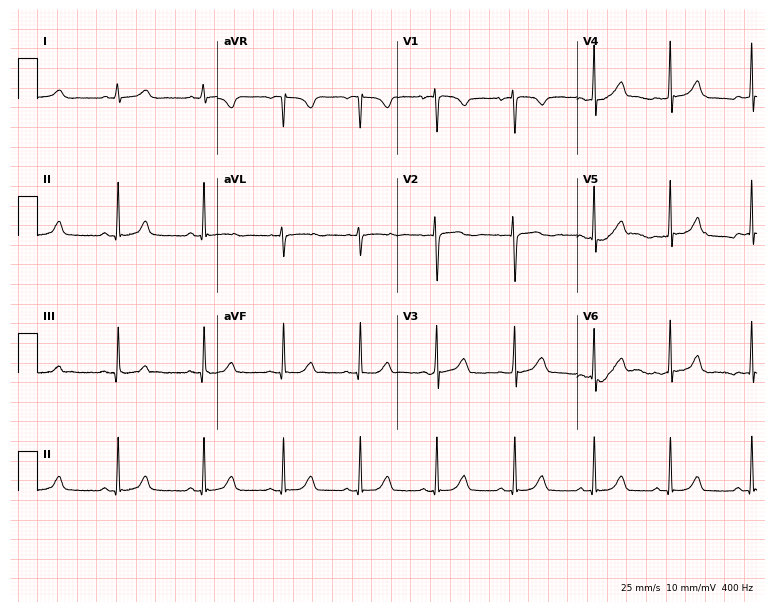
12-lead ECG from a 19-year-old female patient. Recorded interpretation: within normal limits.